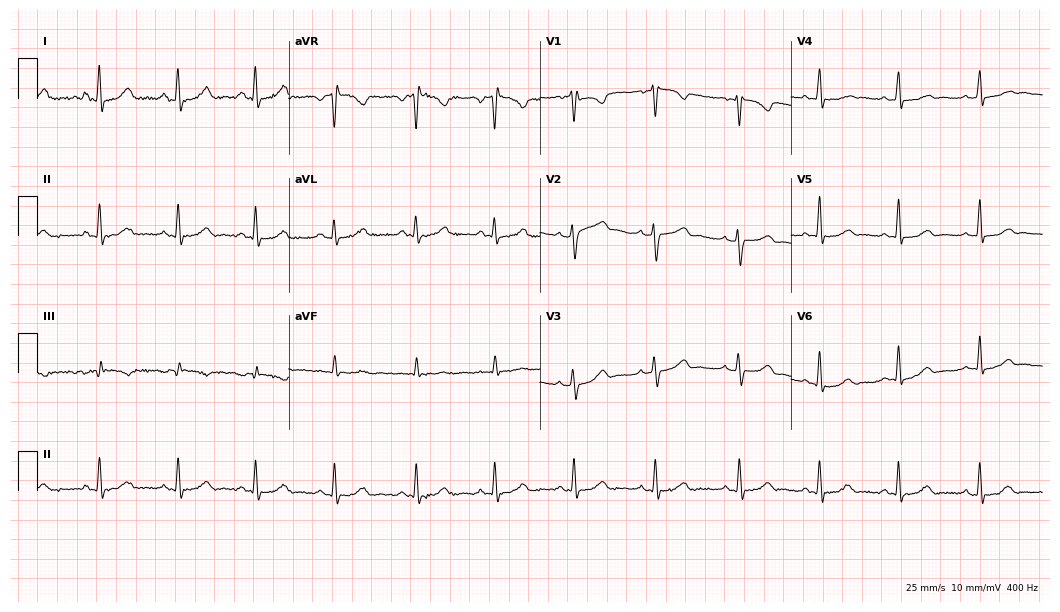
ECG (10.2-second recording at 400 Hz) — a 29-year-old woman. Labelled as a normal ECG.